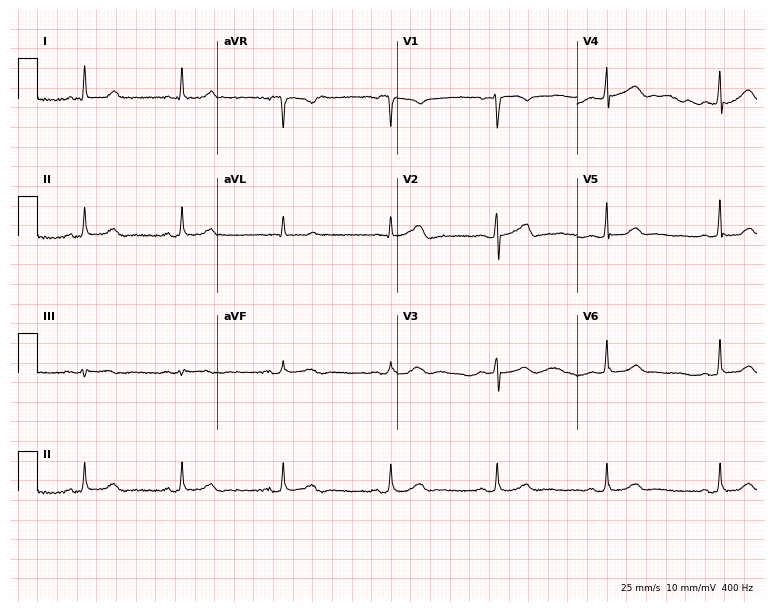
Electrocardiogram (7.3-second recording at 400 Hz), a female patient, 72 years old. Overall reading on record: normal ECG.